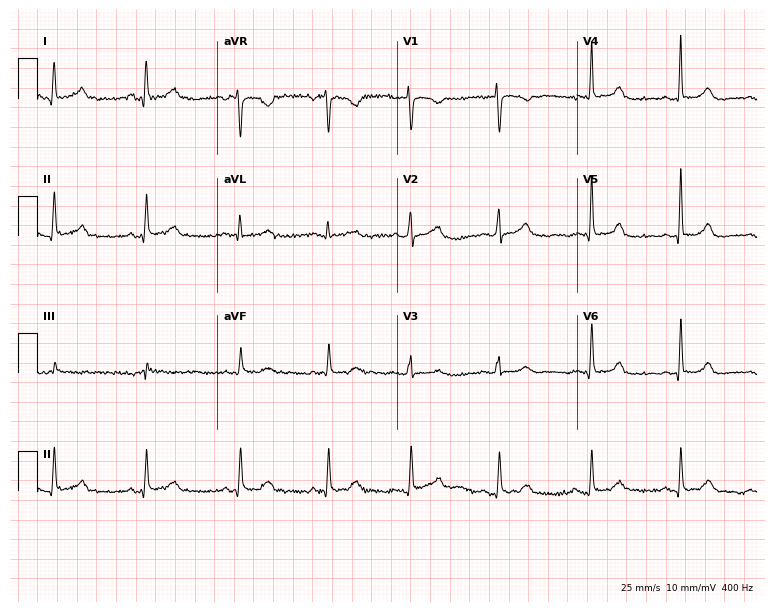
12-lead ECG from a 39-year-old female (7.3-second recording at 400 Hz). Recorded interpretation: within normal limits.